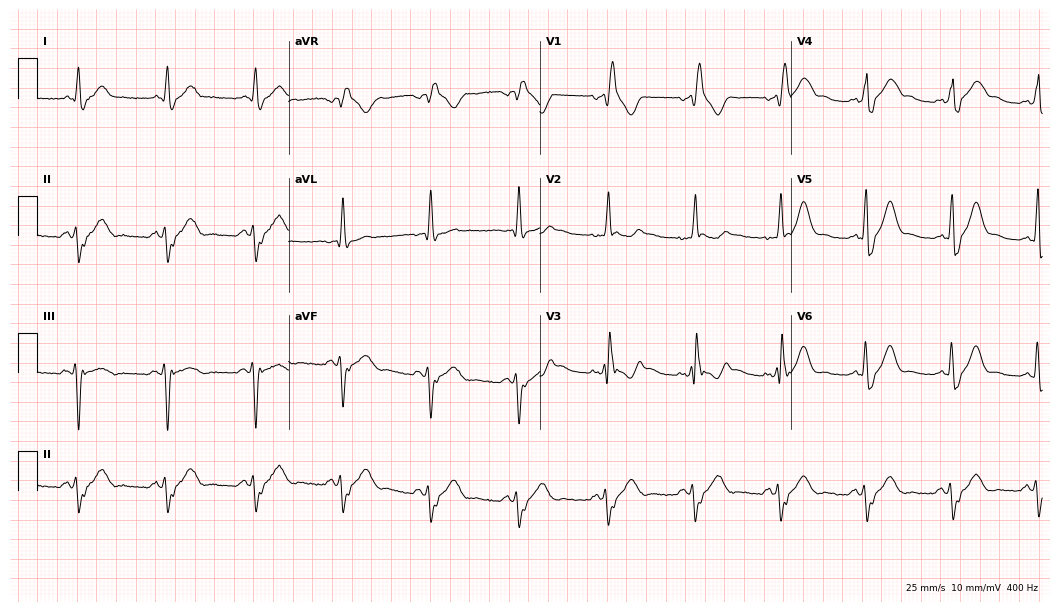
Standard 12-lead ECG recorded from a 59-year-old male (10.2-second recording at 400 Hz). The tracing shows right bundle branch block.